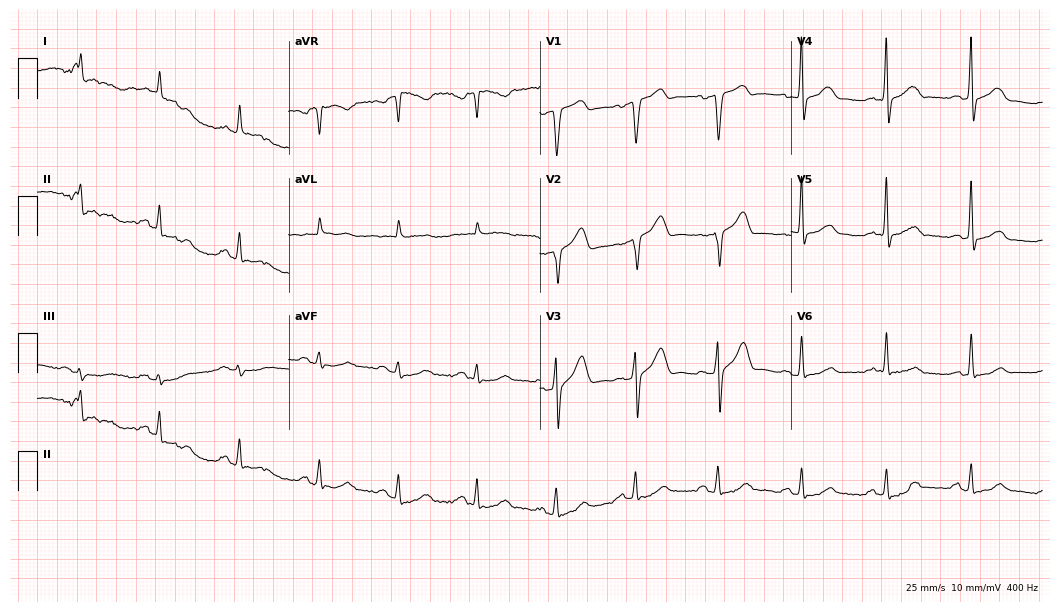
12-lead ECG from a man, 67 years old. Recorded interpretation: within normal limits.